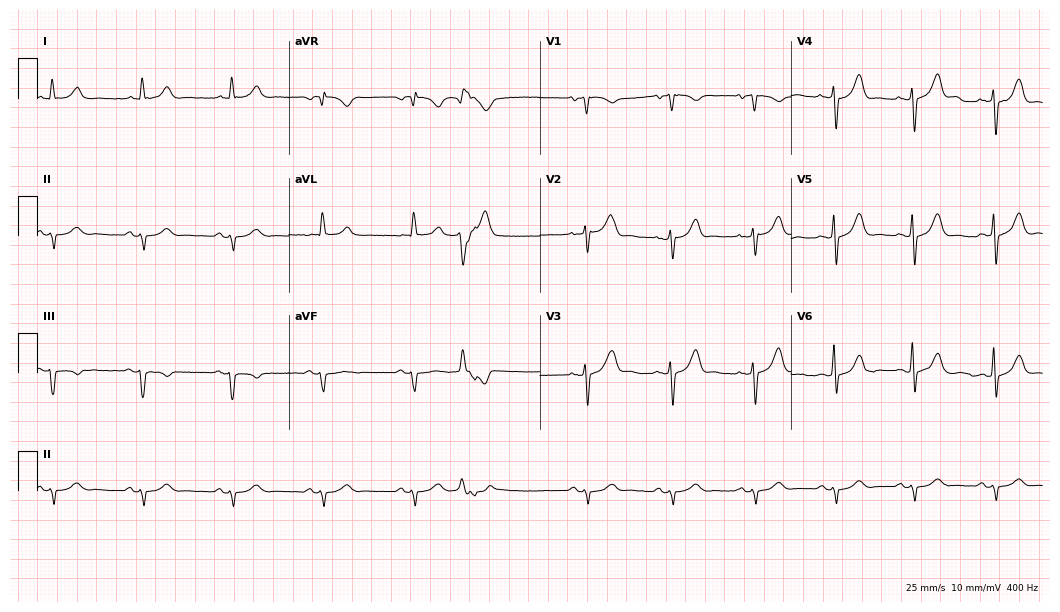
12-lead ECG from an 80-year-old male patient. Screened for six findings — first-degree AV block, right bundle branch block (RBBB), left bundle branch block (LBBB), sinus bradycardia, atrial fibrillation (AF), sinus tachycardia — none is recorded.